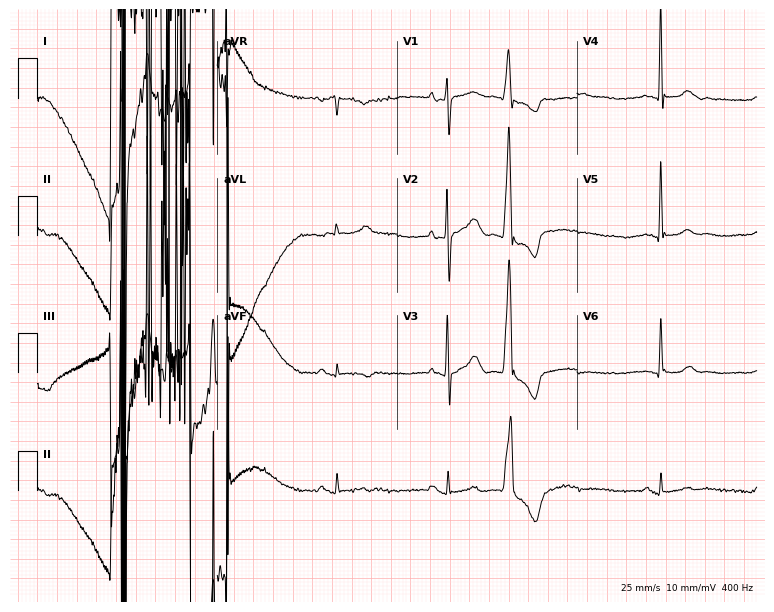
12-lead ECG from an 82-year-old male (7.3-second recording at 400 Hz). No first-degree AV block, right bundle branch block (RBBB), left bundle branch block (LBBB), sinus bradycardia, atrial fibrillation (AF) or sinus tachycardia recorded for this tracing.